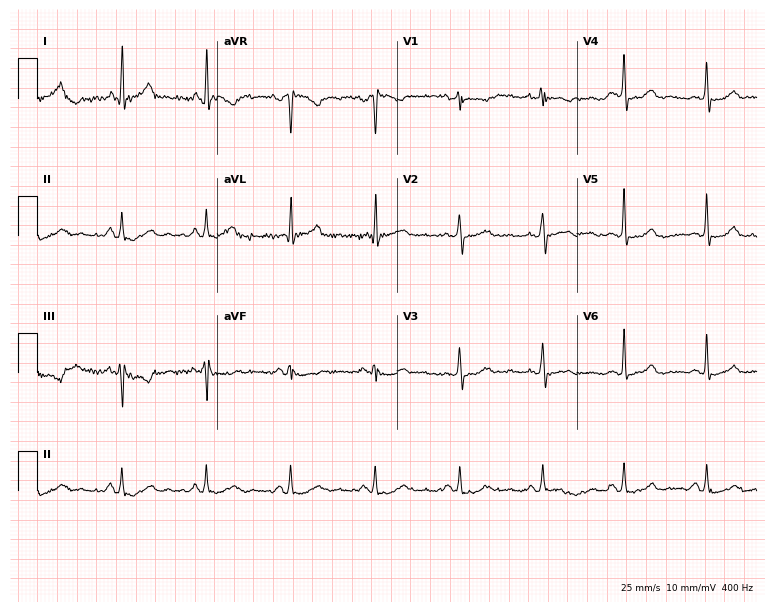
ECG (7.3-second recording at 400 Hz) — a female, 49 years old. Labelled as a normal ECG.